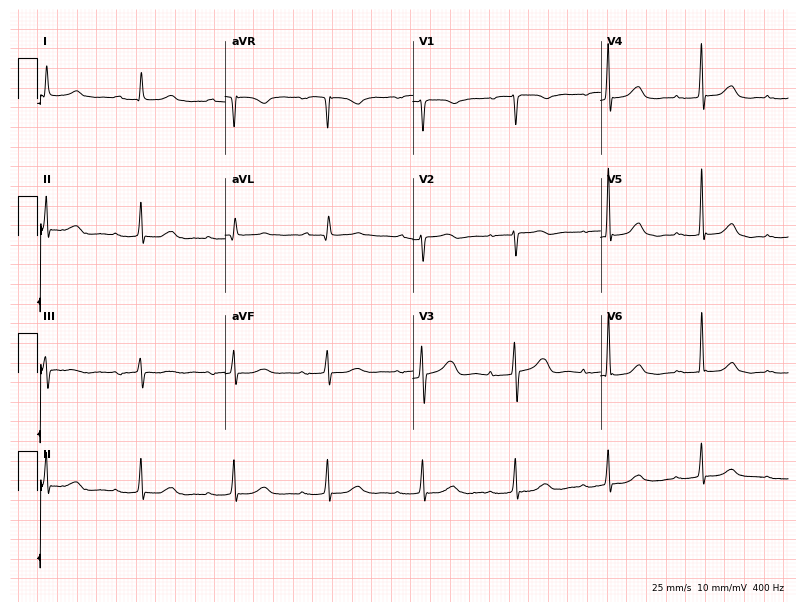
Standard 12-lead ECG recorded from a 64-year-old woman. The tracing shows first-degree AV block.